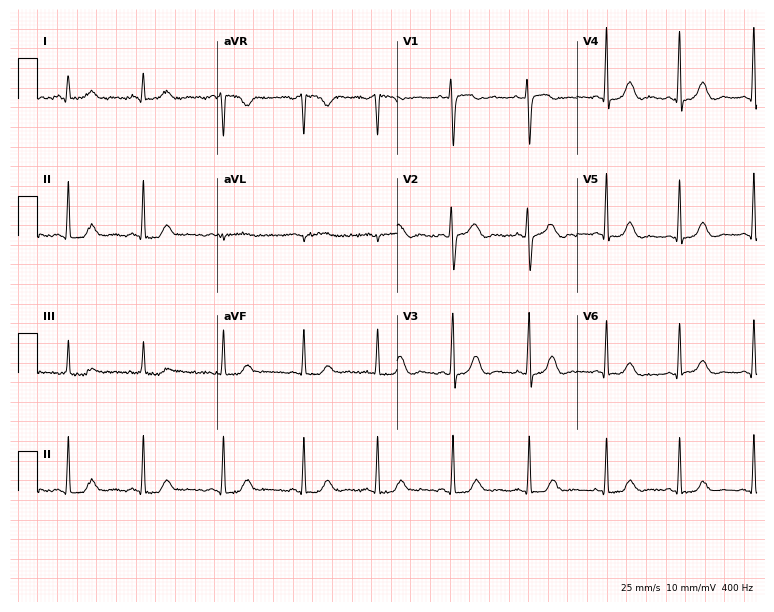
Standard 12-lead ECG recorded from a woman, 37 years old. Read as a normal ECG.